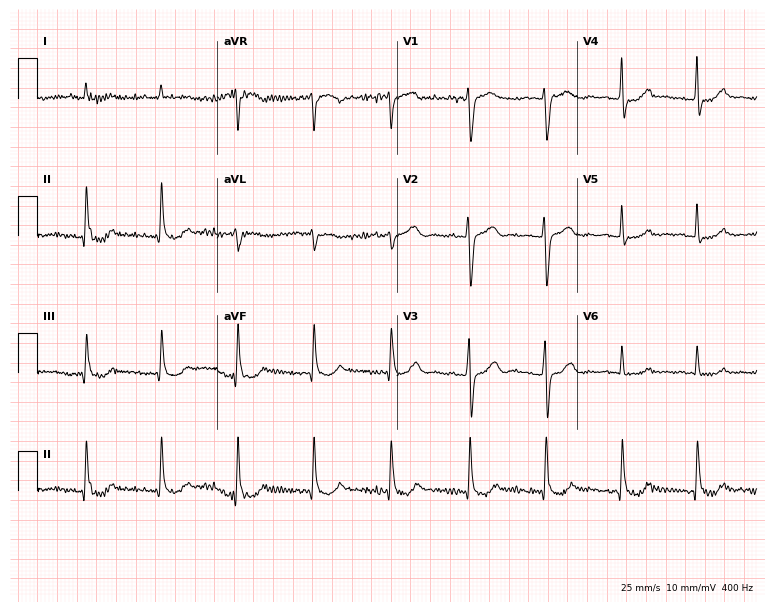
Resting 12-lead electrocardiogram (7.3-second recording at 400 Hz). Patient: a 62-year-old man. None of these six findings is recorded: first-degree AV block, right bundle branch block, left bundle branch block, sinus bradycardia, atrial fibrillation, sinus tachycardia.